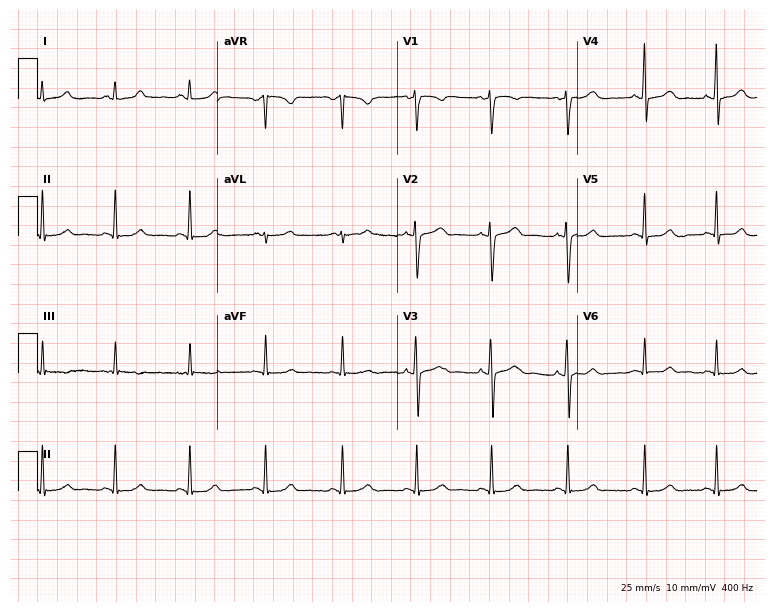
Resting 12-lead electrocardiogram. Patient: a 28-year-old female. Read as a normal ECG.